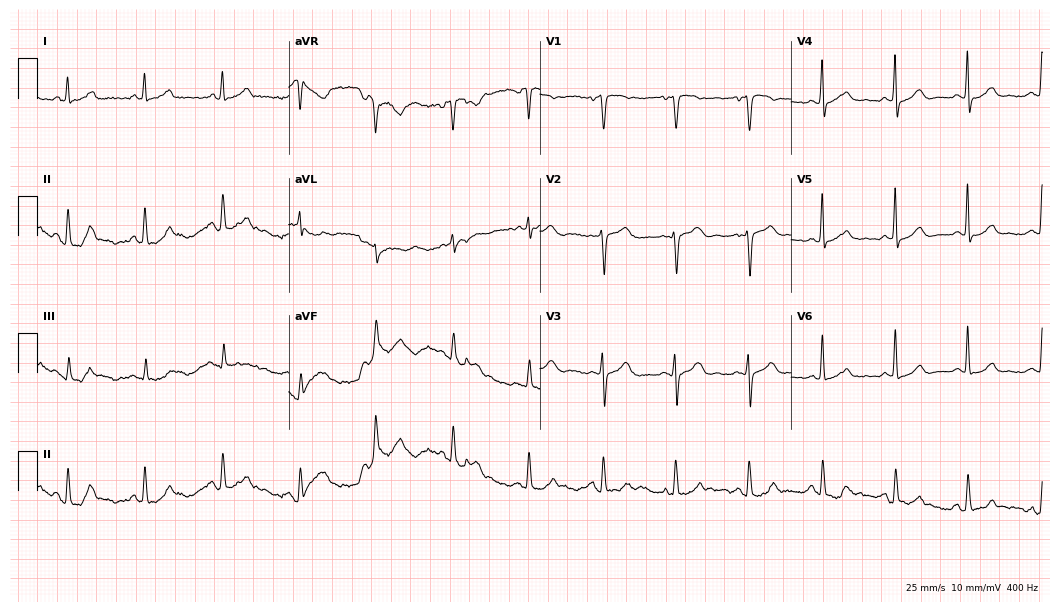
ECG — a 48-year-old female. Screened for six findings — first-degree AV block, right bundle branch block (RBBB), left bundle branch block (LBBB), sinus bradycardia, atrial fibrillation (AF), sinus tachycardia — none is recorded.